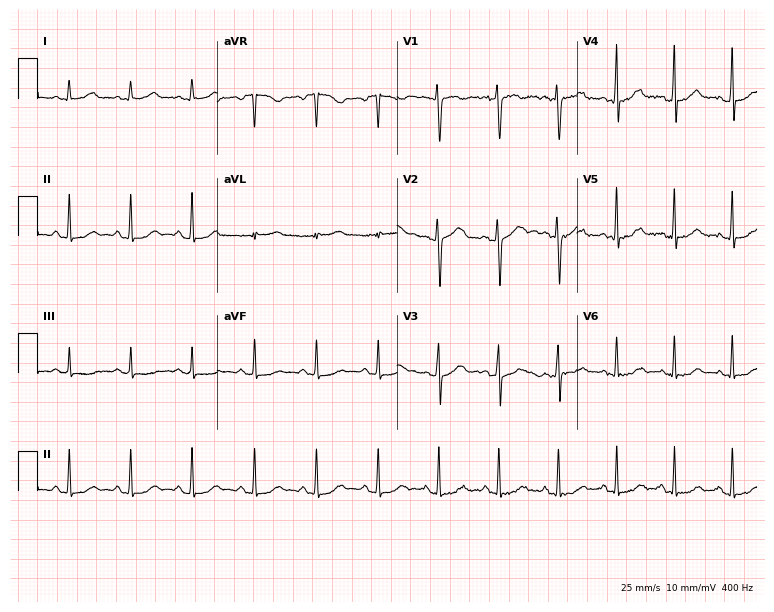
Standard 12-lead ECG recorded from a 40-year-old female. None of these six findings is recorded: first-degree AV block, right bundle branch block (RBBB), left bundle branch block (LBBB), sinus bradycardia, atrial fibrillation (AF), sinus tachycardia.